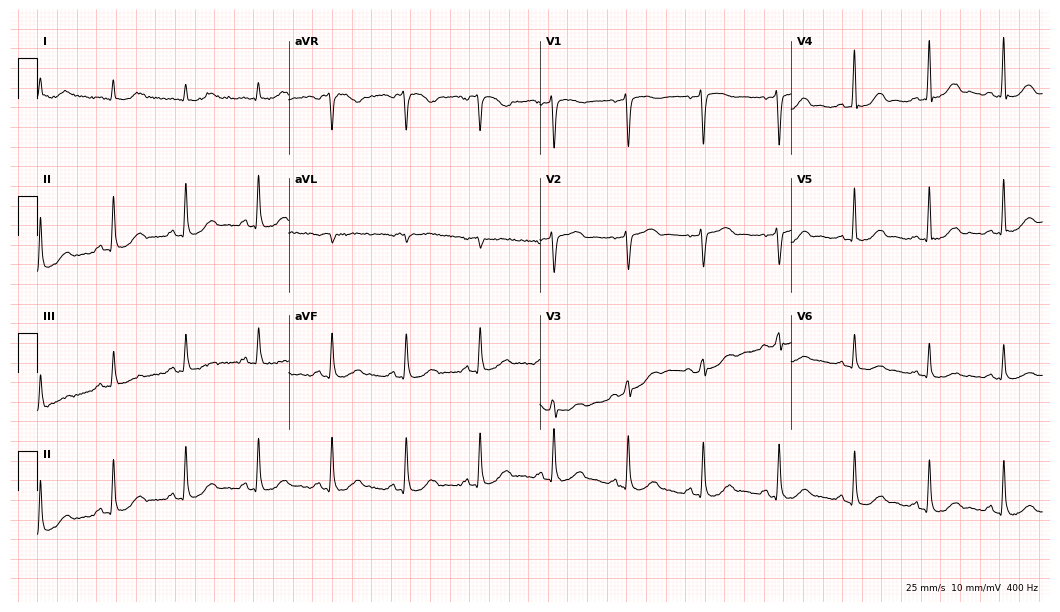
Standard 12-lead ECG recorded from a female, 58 years old (10.2-second recording at 400 Hz). Read as a normal ECG.